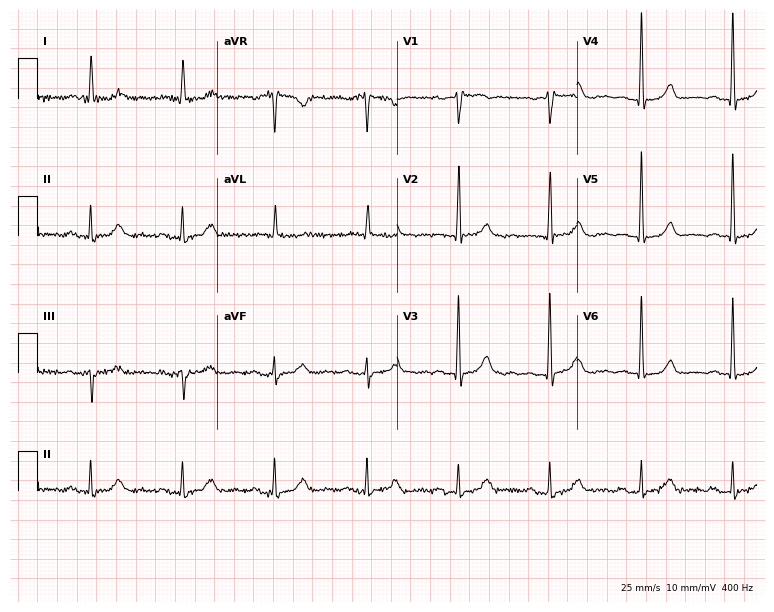
12-lead ECG from an 81-year-old man (7.3-second recording at 400 Hz). Shows first-degree AV block.